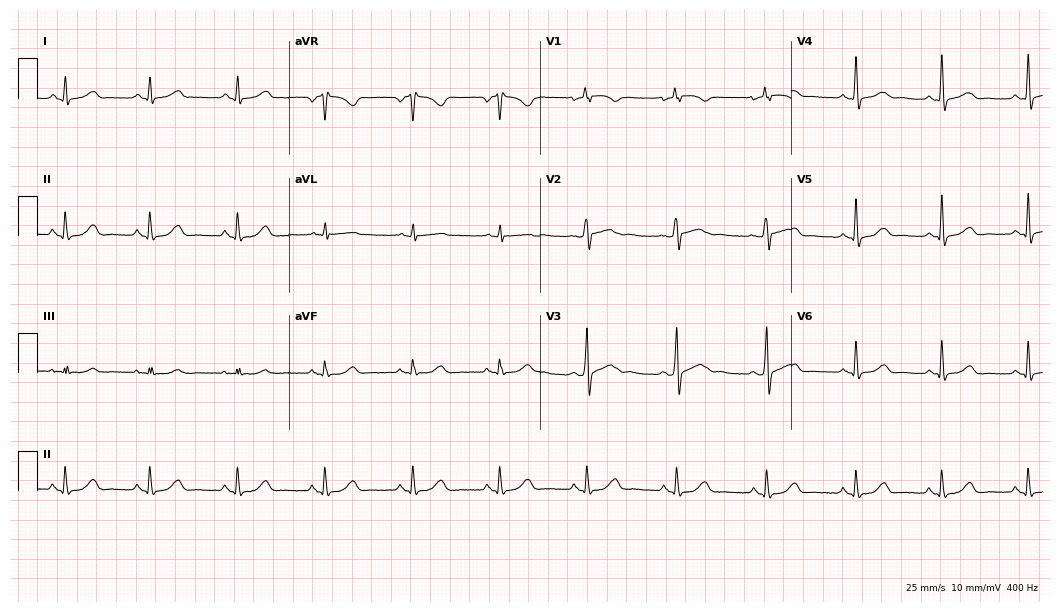
12-lead ECG from a 53-year-old female patient. Screened for six findings — first-degree AV block, right bundle branch block (RBBB), left bundle branch block (LBBB), sinus bradycardia, atrial fibrillation (AF), sinus tachycardia — none is recorded. Other findings, if any, are not listed.